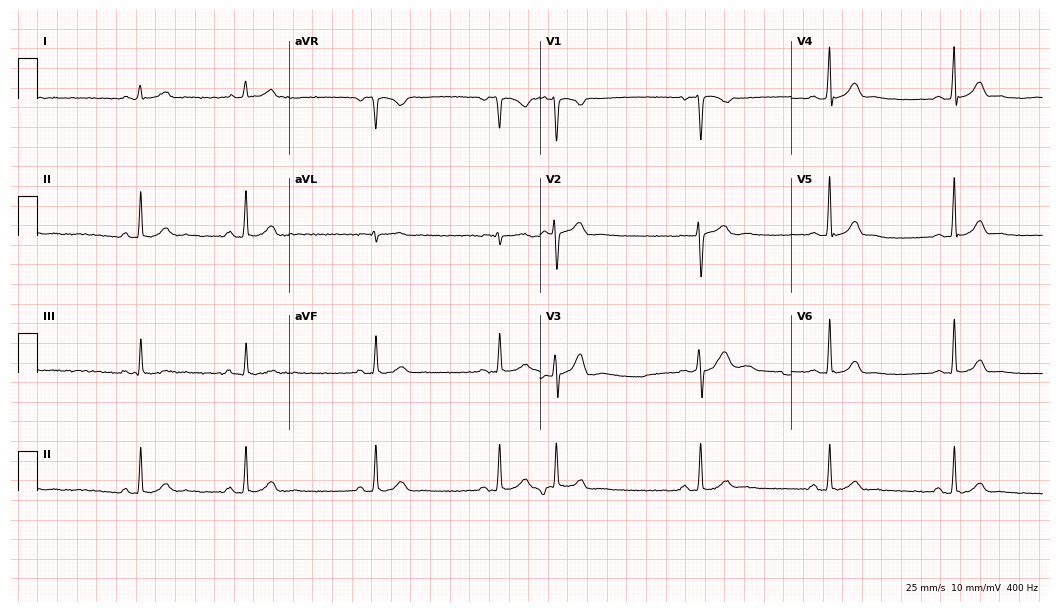
12-lead ECG from a 29-year-old man. Screened for six findings — first-degree AV block, right bundle branch block, left bundle branch block, sinus bradycardia, atrial fibrillation, sinus tachycardia — none is recorded.